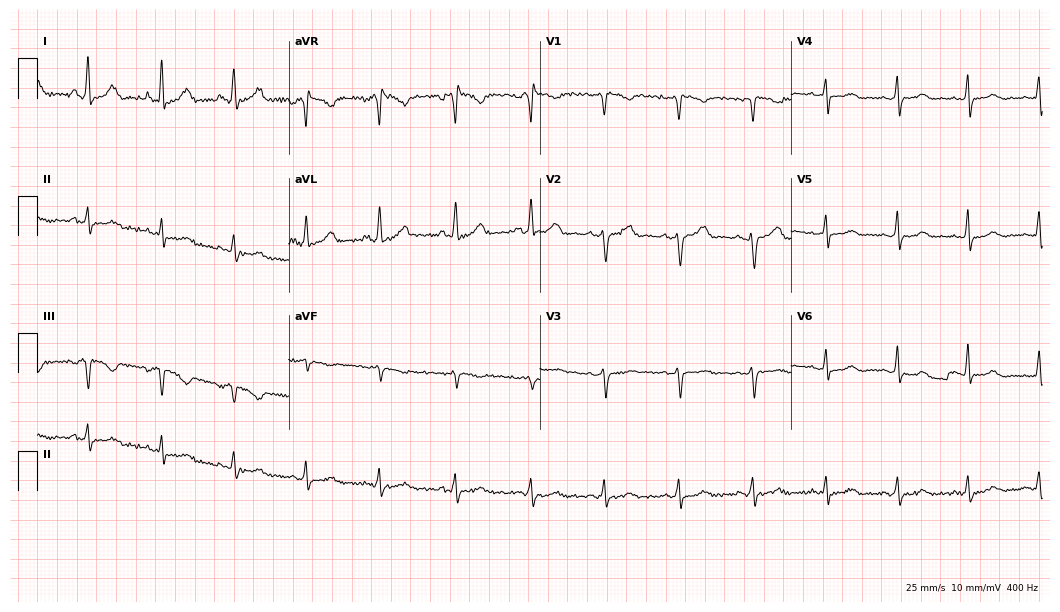
12-lead ECG (10.2-second recording at 400 Hz) from a 37-year-old female. Screened for six findings — first-degree AV block, right bundle branch block, left bundle branch block, sinus bradycardia, atrial fibrillation, sinus tachycardia — none is recorded. Findings outside these six are not listed.